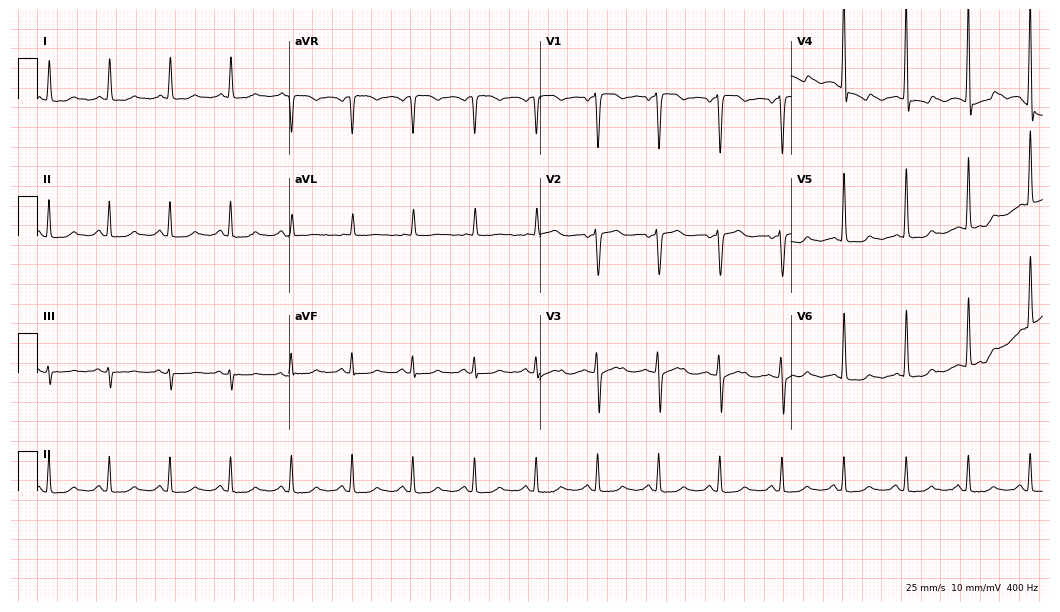
ECG (10.2-second recording at 400 Hz) — a female patient, 74 years old. Labelled as a normal ECG.